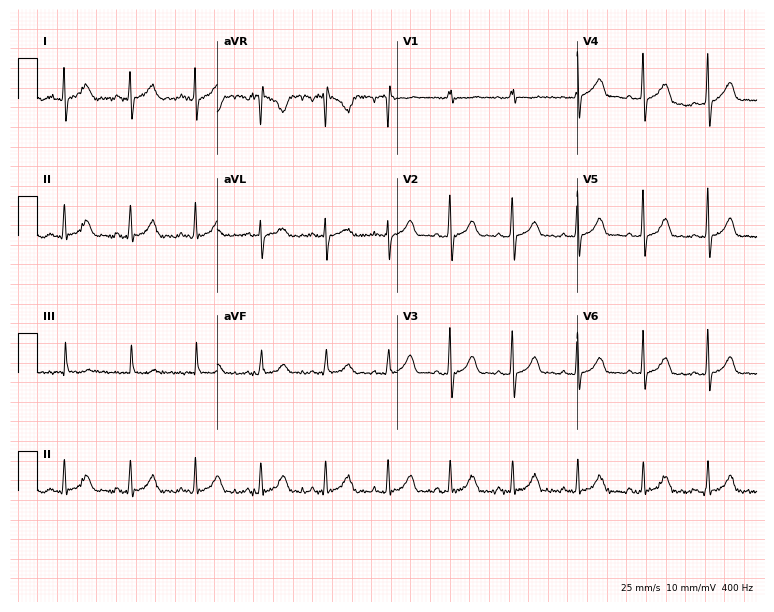
12-lead ECG from a 19-year-old female patient. Labelled as a normal ECG.